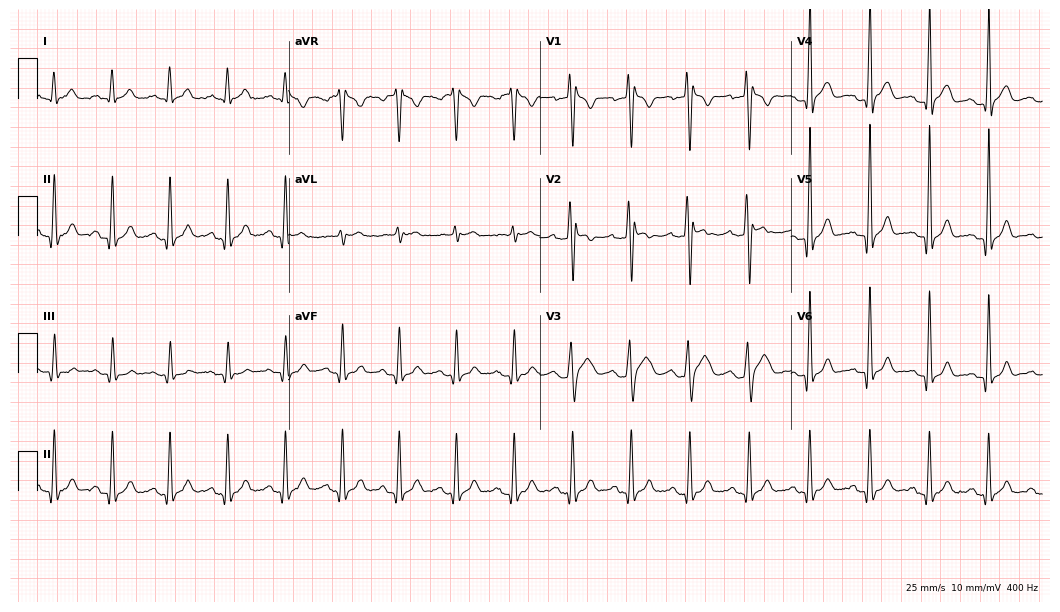
12-lead ECG from a man, 31 years old. No first-degree AV block, right bundle branch block, left bundle branch block, sinus bradycardia, atrial fibrillation or sinus tachycardia recorded for this tracing. Only these six findings were labelled.